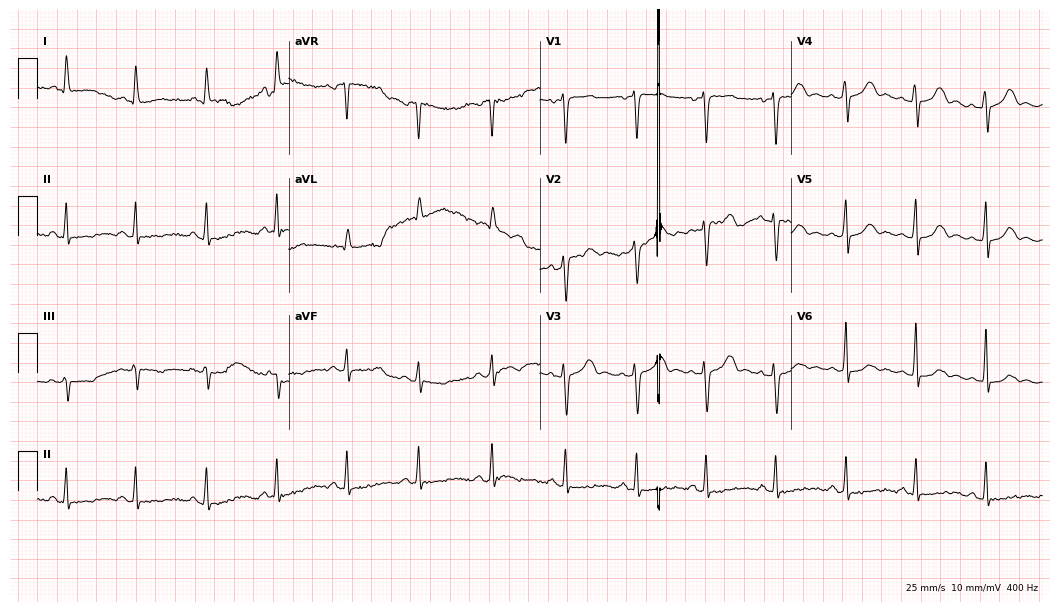
12-lead ECG from a female patient, 33 years old. No first-degree AV block, right bundle branch block, left bundle branch block, sinus bradycardia, atrial fibrillation or sinus tachycardia recorded for this tracing.